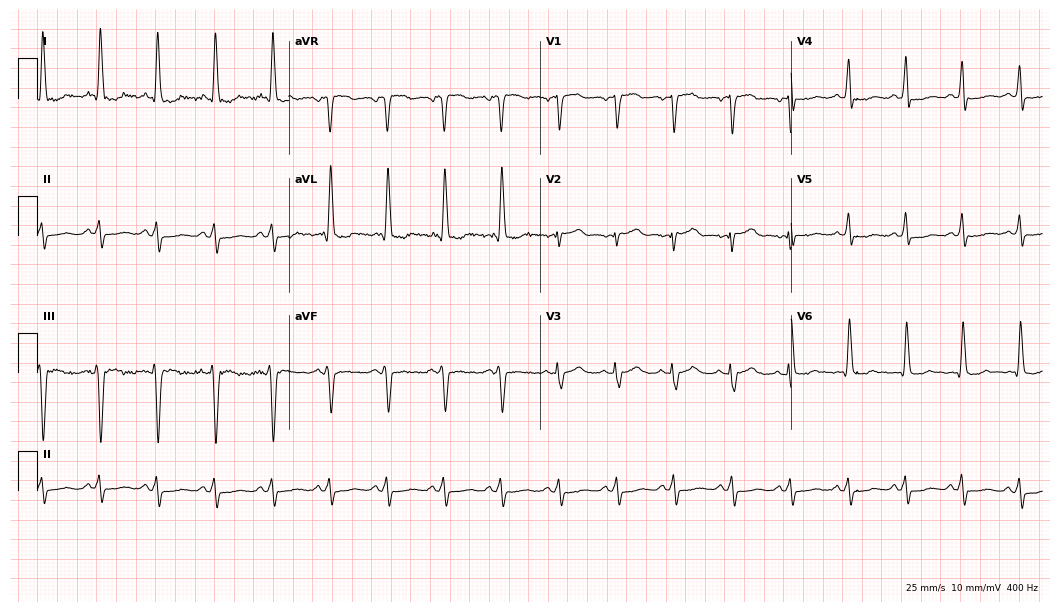
ECG — a 74-year-old female patient. Findings include sinus tachycardia (a sinus rate of 100 beats per minute or more).